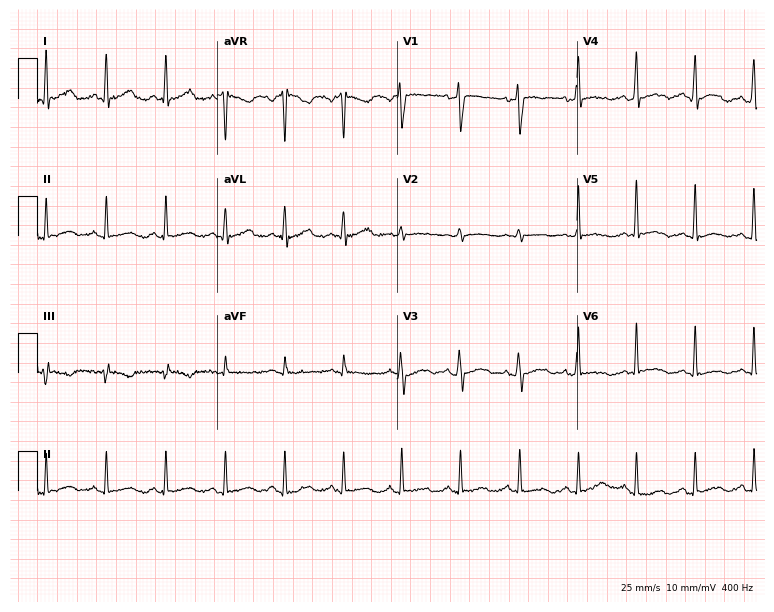
Electrocardiogram, a 28-year-old man. Of the six screened findings (first-degree AV block, right bundle branch block, left bundle branch block, sinus bradycardia, atrial fibrillation, sinus tachycardia), none is recorded. Findings outside these six are not listed.